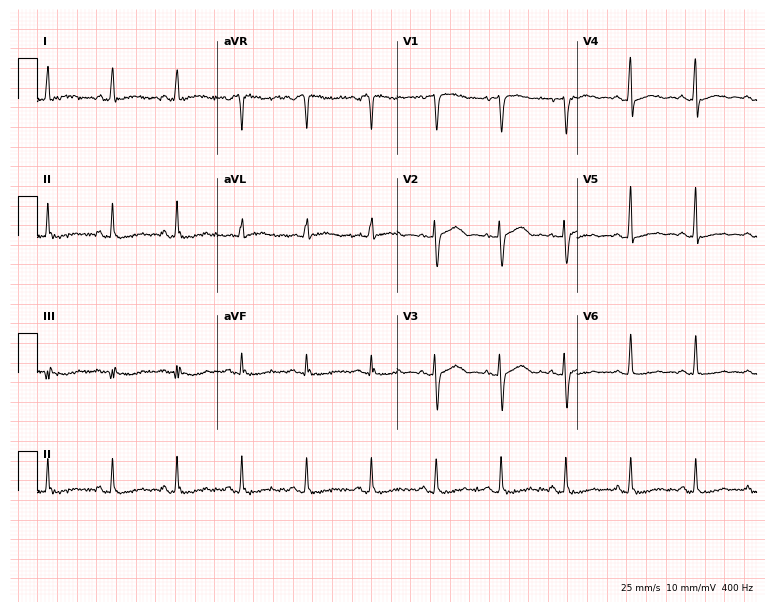
12-lead ECG from a 46-year-old female patient. No first-degree AV block, right bundle branch block, left bundle branch block, sinus bradycardia, atrial fibrillation or sinus tachycardia recorded for this tracing. Findings outside these six are not listed.